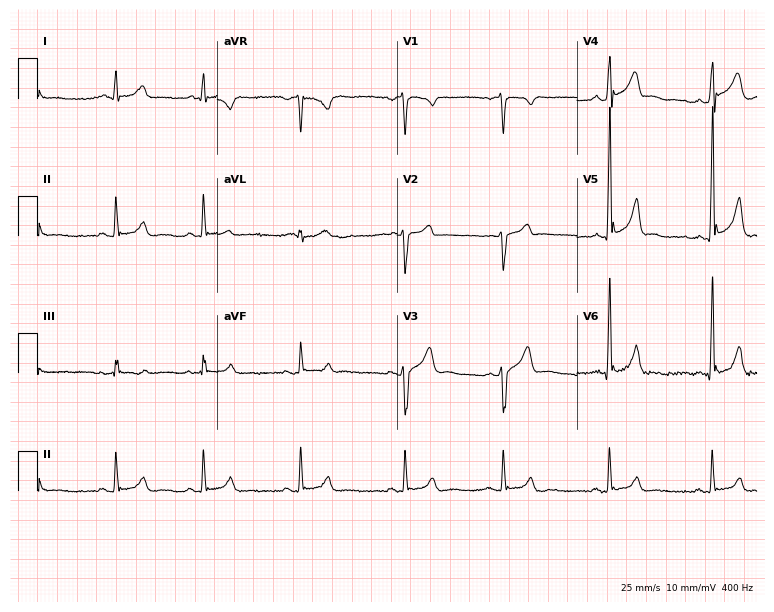
12-lead ECG from a 30-year-old male patient (7.3-second recording at 400 Hz). Recorded interpretation: within normal limits.